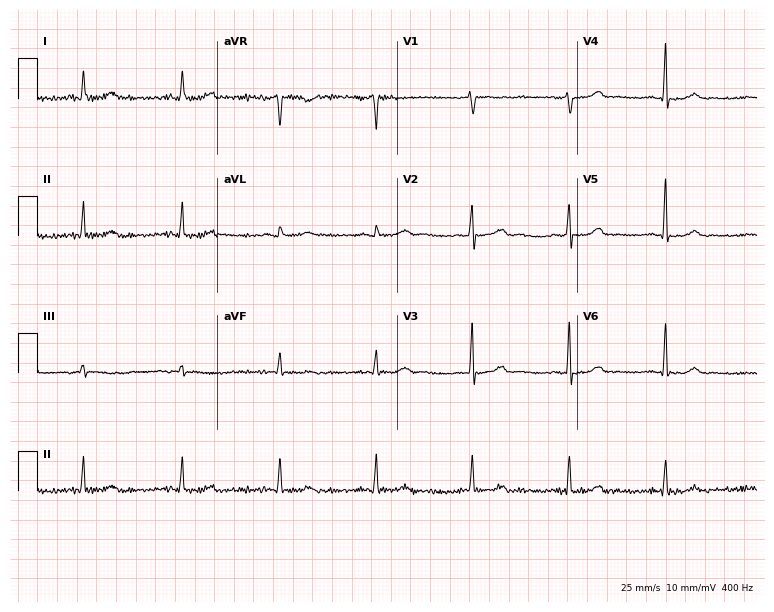
12-lead ECG from a 68-year-old female (7.3-second recording at 400 Hz). Recorded interpretation: within normal limits.